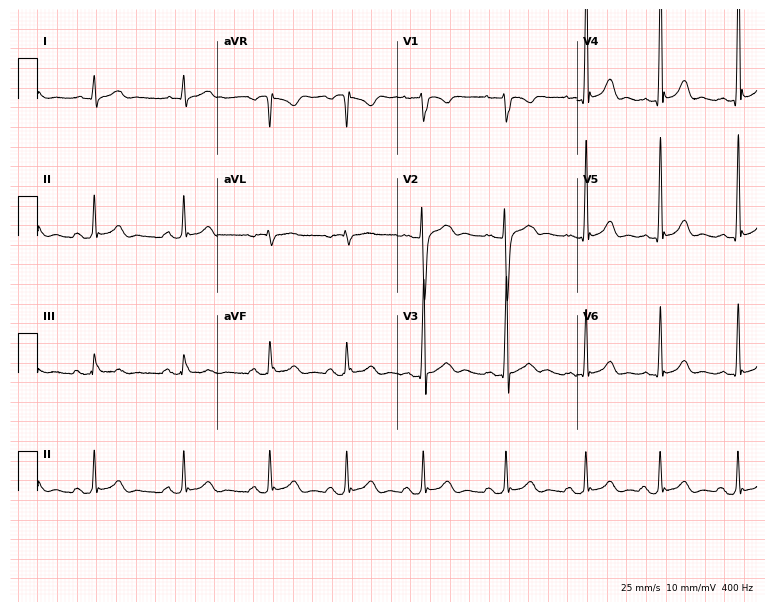
12-lead ECG from a man, 37 years old (7.3-second recording at 400 Hz). No first-degree AV block, right bundle branch block (RBBB), left bundle branch block (LBBB), sinus bradycardia, atrial fibrillation (AF) or sinus tachycardia recorded for this tracing. Other findings, if any, are not listed.